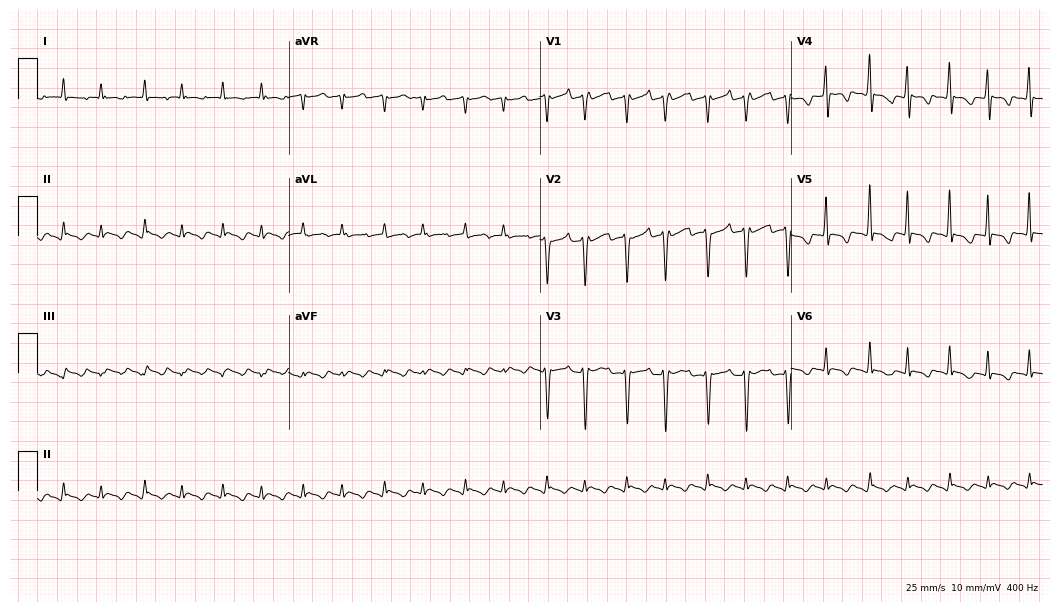
12-lead ECG from a male, 58 years old. No first-degree AV block, right bundle branch block, left bundle branch block, sinus bradycardia, atrial fibrillation or sinus tachycardia recorded for this tracing.